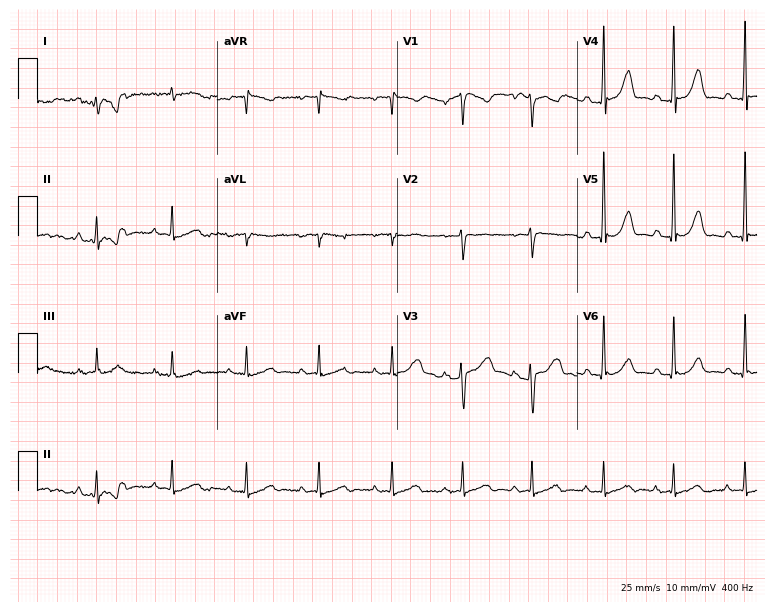
Resting 12-lead electrocardiogram. Patient: a woman, 62 years old. Read as a normal ECG.